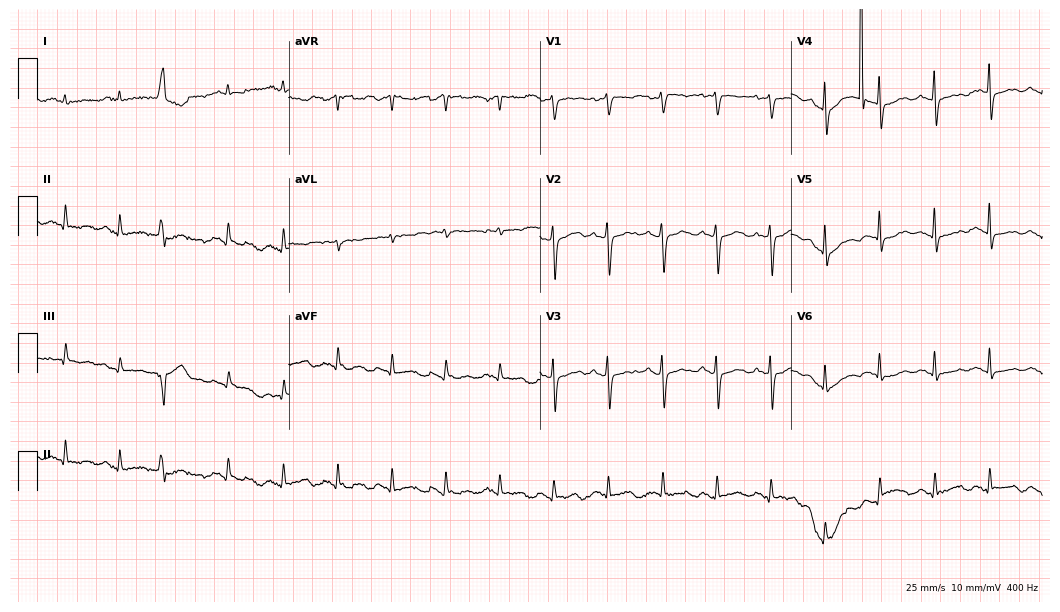
Resting 12-lead electrocardiogram. Patient: a 67-year-old female. The tracing shows sinus tachycardia (a sinus rate of 100 beats per minute or more).